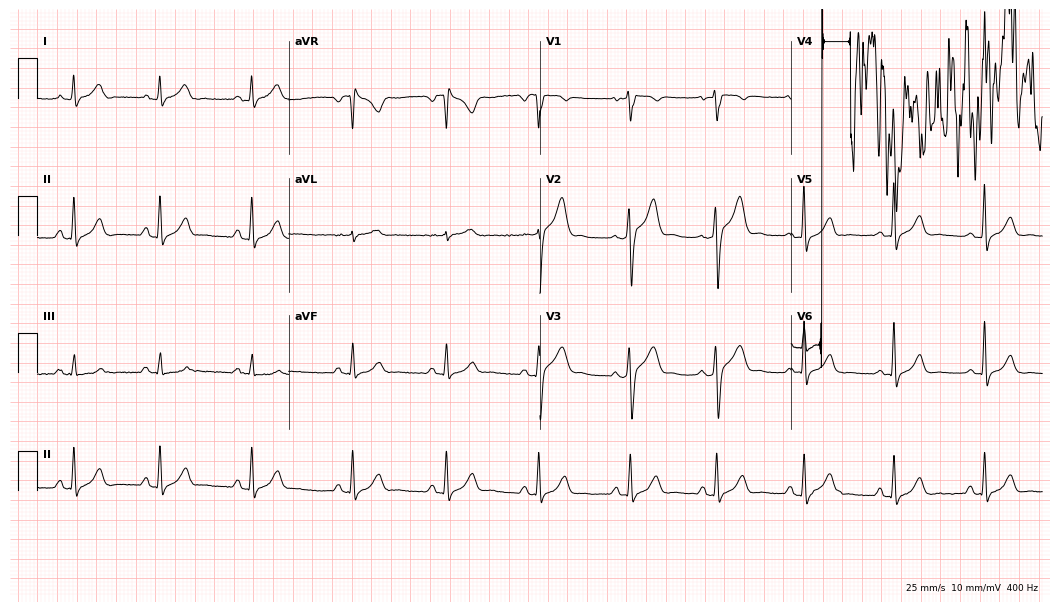
Resting 12-lead electrocardiogram. Patient: a male, 22 years old. None of these six findings is recorded: first-degree AV block, right bundle branch block, left bundle branch block, sinus bradycardia, atrial fibrillation, sinus tachycardia.